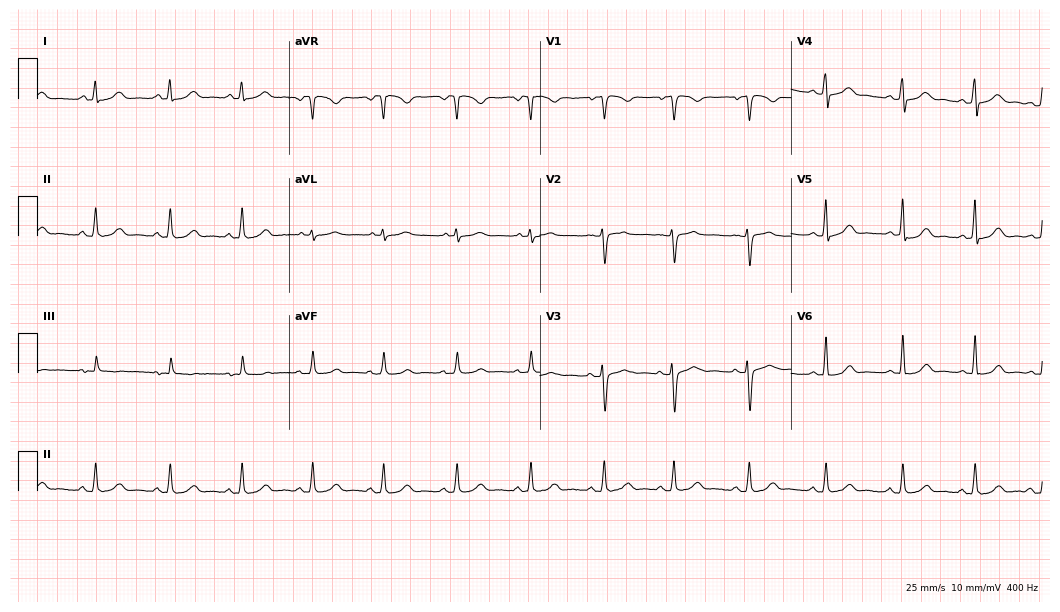
Standard 12-lead ECG recorded from a 39-year-old female patient (10.2-second recording at 400 Hz). Read as a normal ECG.